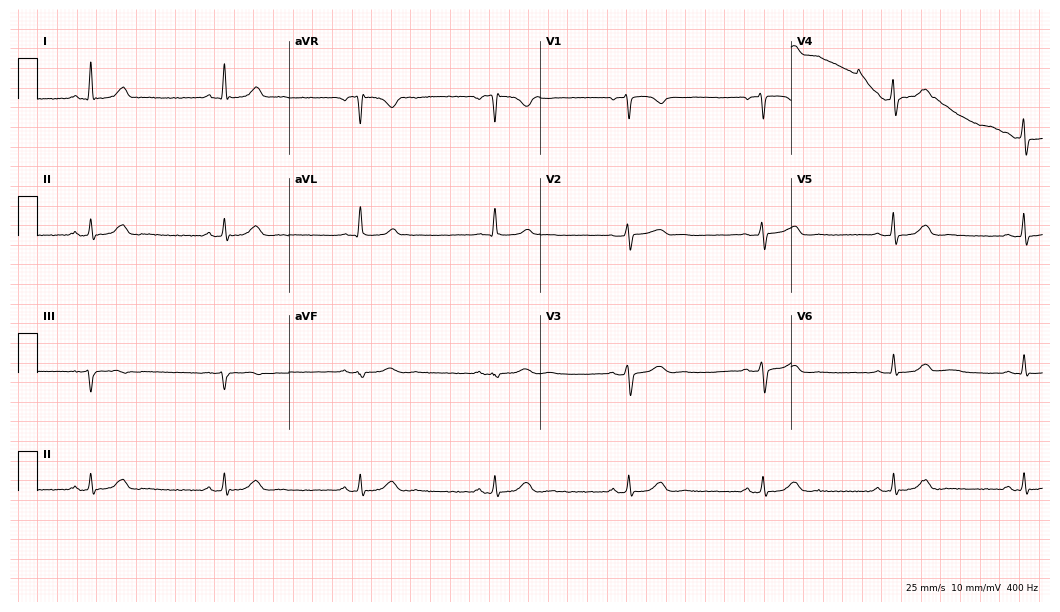
Standard 12-lead ECG recorded from a 61-year-old woman. The tracing shows sinus bradycardia (a sinus rate of 50 beats per minute or less).